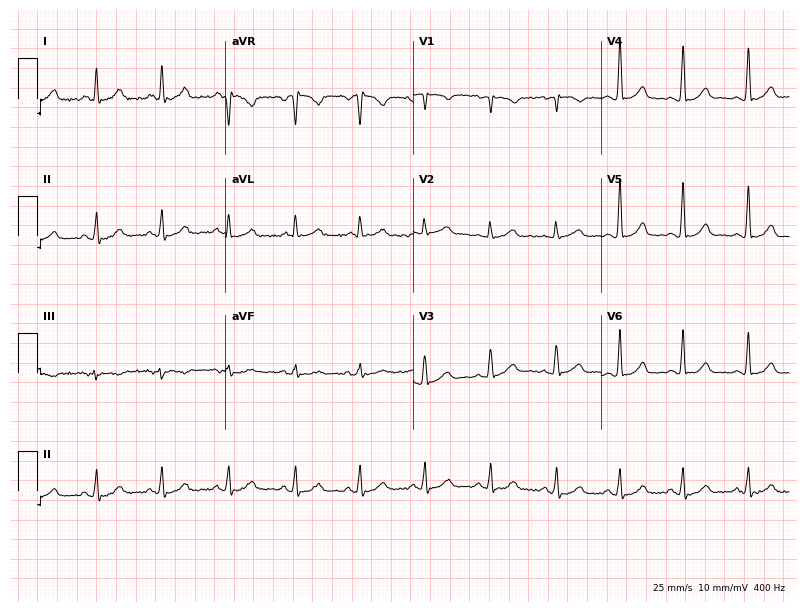
12-lead ECG from a female patient, 45 years old. Labelled as a normal ECG.